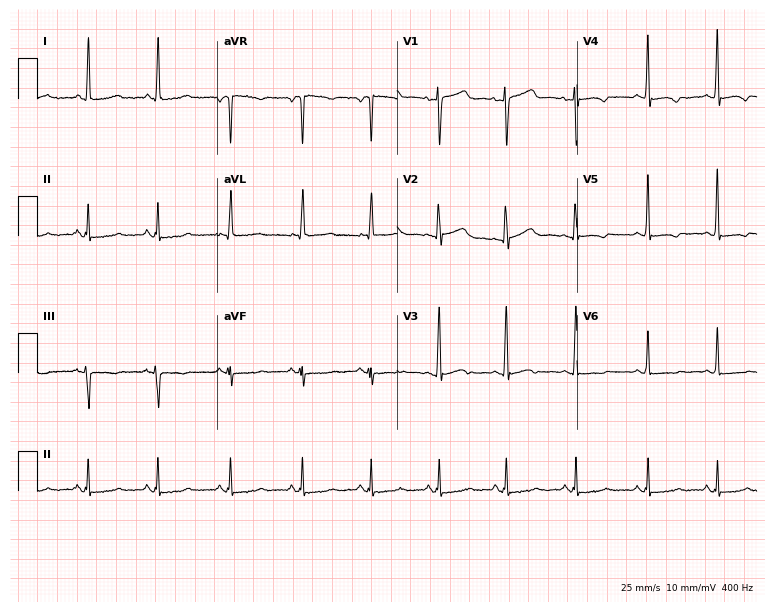
12-lead ECG (7.3-second recording at 400 Hz) from a female, 40 years old. Screened for six findings — first-degree AV block, right bundle branch block, left bundle branch block, sinus bradycardia, atrial fibrillation, sinus tachycardia — none is recorded.